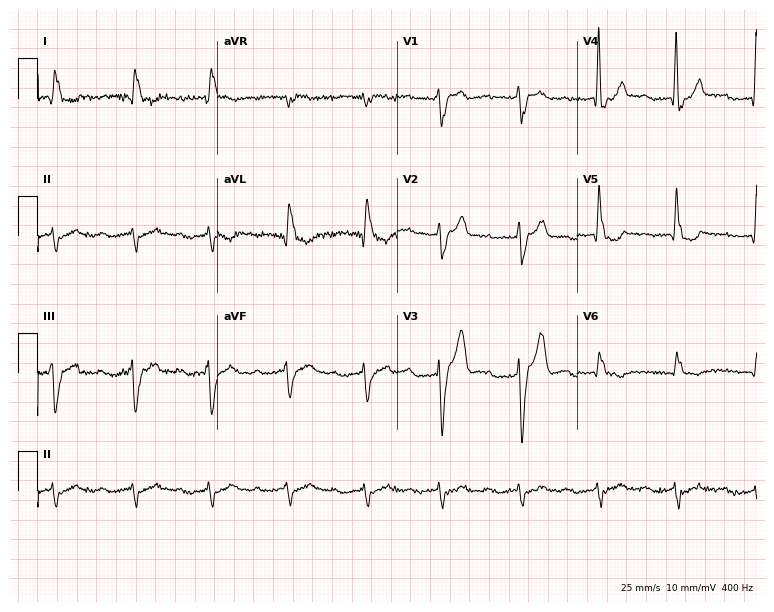
Resting 12-lead electrocardiogram. Patient: an 83-year-old woman. None of these six findings is recorded: first-degree AV block, right bundle branch block, left bundle branch block, sinus bradycardia, atrial fibrillation, sinus tachycardia.